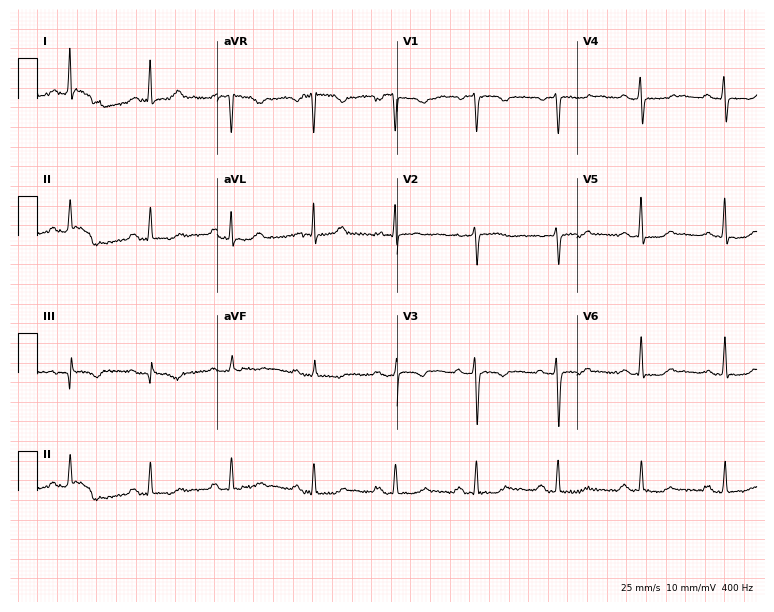
12-lead ECG from a female, 50 years old. Screened for six findings — first-degree AV block, right bundle branch block (RBBB), left bundle branch block (LBBB), sinus bradycardia, atrial fibrillation (AF), sinus tachycardia — none is recorded.